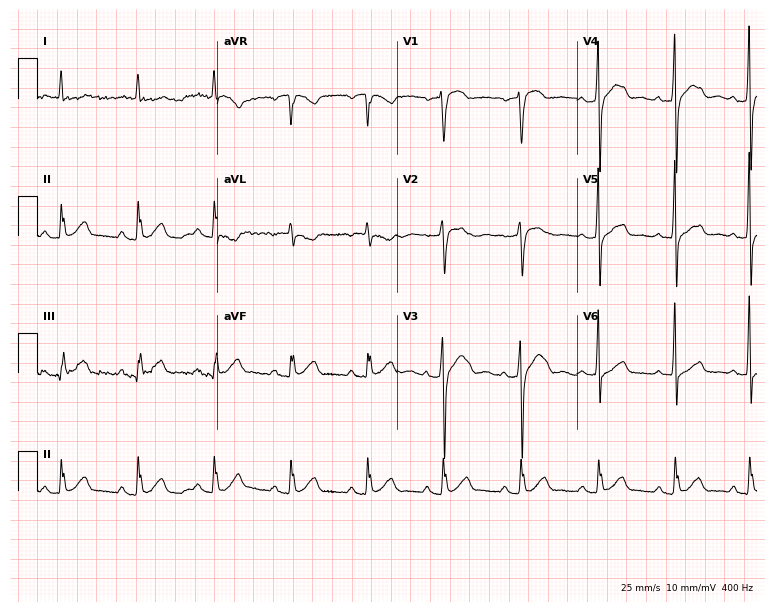
12-lead ECG from a female patient, 76 years old. Labelled as a normal ECG.